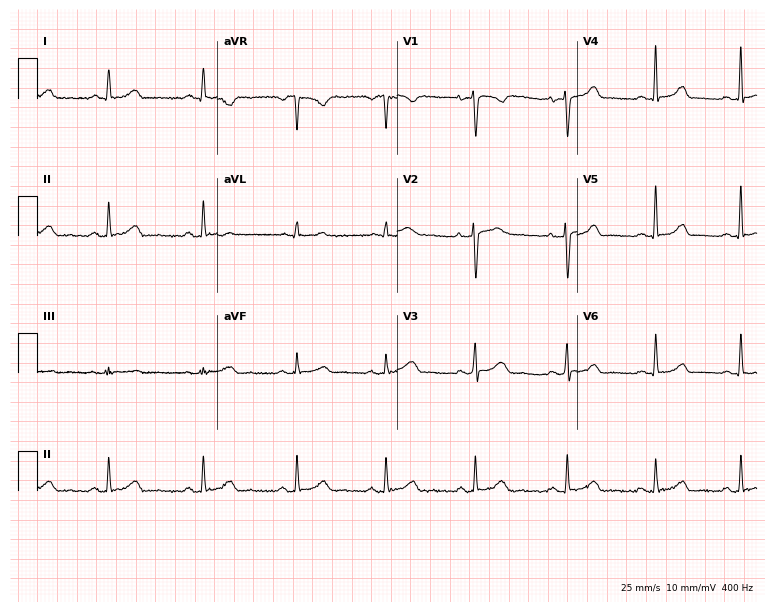
Standard 12-lead ECG recorded from a female patient, 33 years old (7.3-second recording at 400 Hz). Read as a normal ECG.